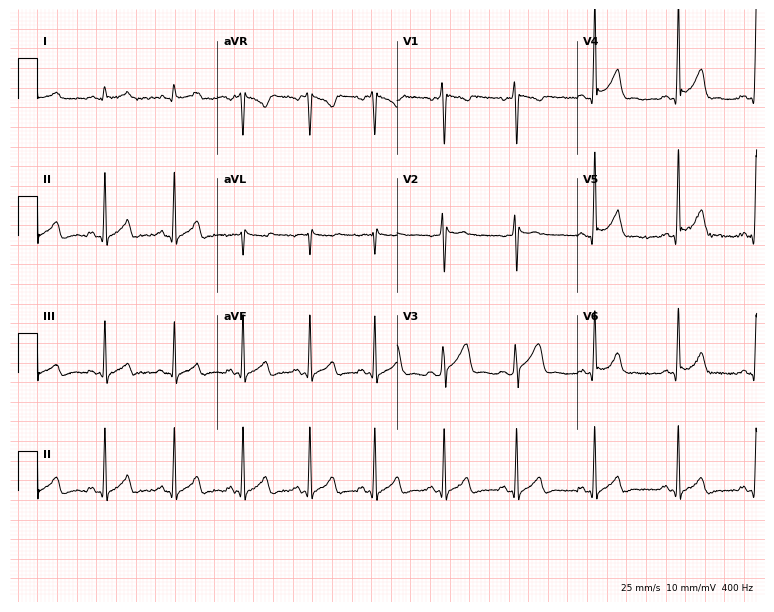
12-lead ECG from a male patient, 26 years old. No first-degree AV block, right bundle branch block, left bundle branch block, sinus bradycardia, atrial fibrillation or sinus tachycardia recorded for this tracing. Only these six findings were labelled.